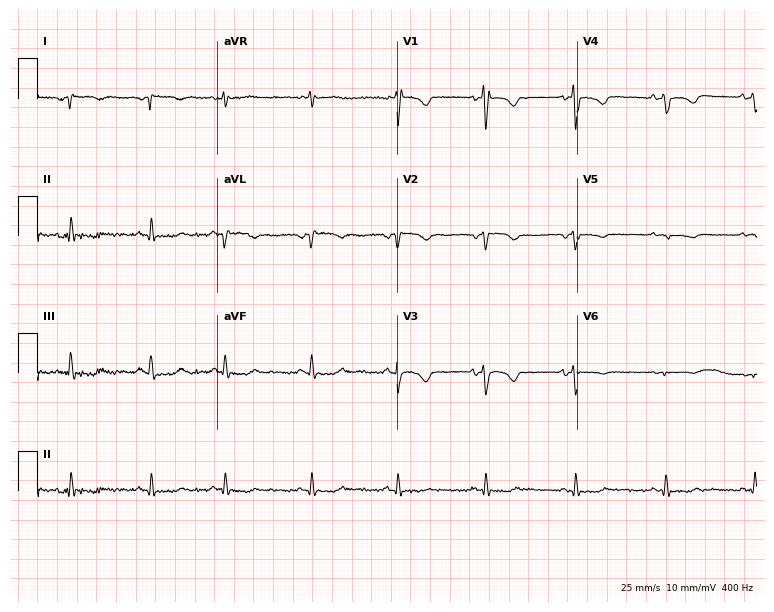
Resting 12-lead electrocardiogram. Patient: a woman, 60 years old. None of these six findings is recorded: first-degree AV block, right bundle branch block, left bundle branch block, sinus bradycardia, atrial fibrillation, sinus tachycardia. Other findings, if any, are not listed.